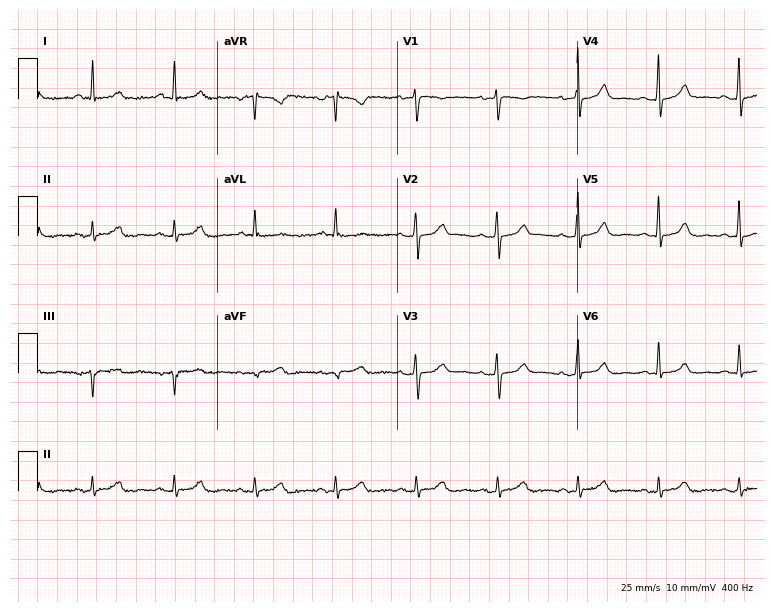
Electrocardiogram (7.3-second recording at 400 Hz), a female patient, 59 years old. Overall reading on record: normal ECG.